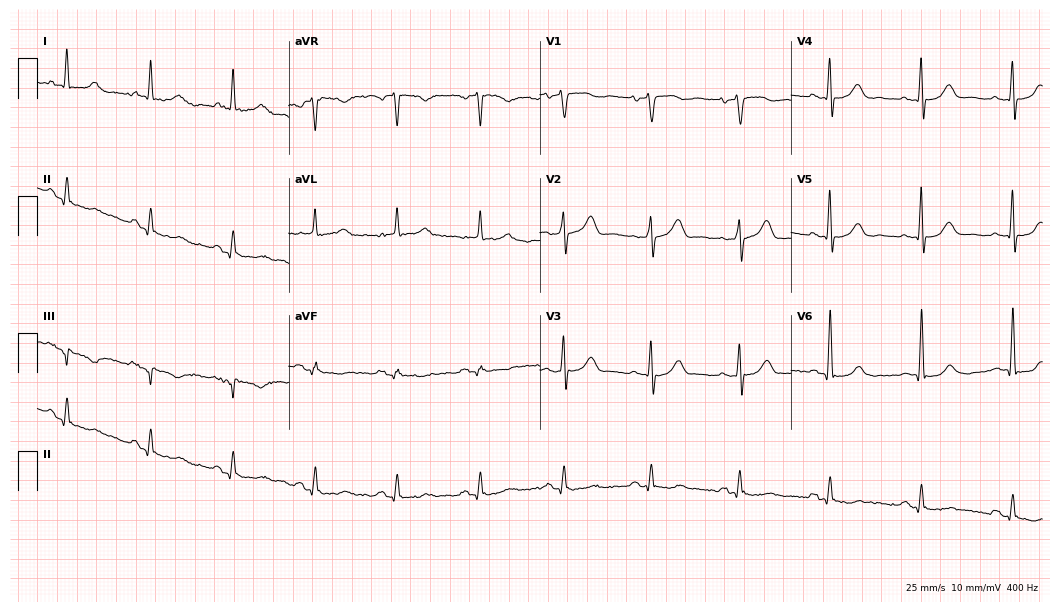
12-lead ECG from an 82-year-old male. Recorded interpretation: within normal limits.